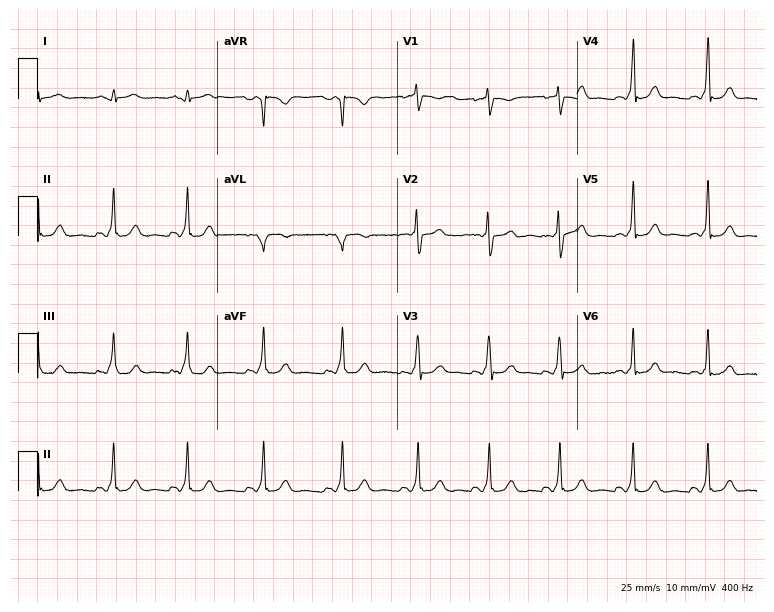
12-lead ECG from a 30-year-old female (7.3-second recording at 400 Hz). No first-degree AV block, right bundle branch block, left bundle branch block, sinus bradycardia, atrial fibrillation or sinus tachycardia recorded for this tracing. Only these six findings were labelled.